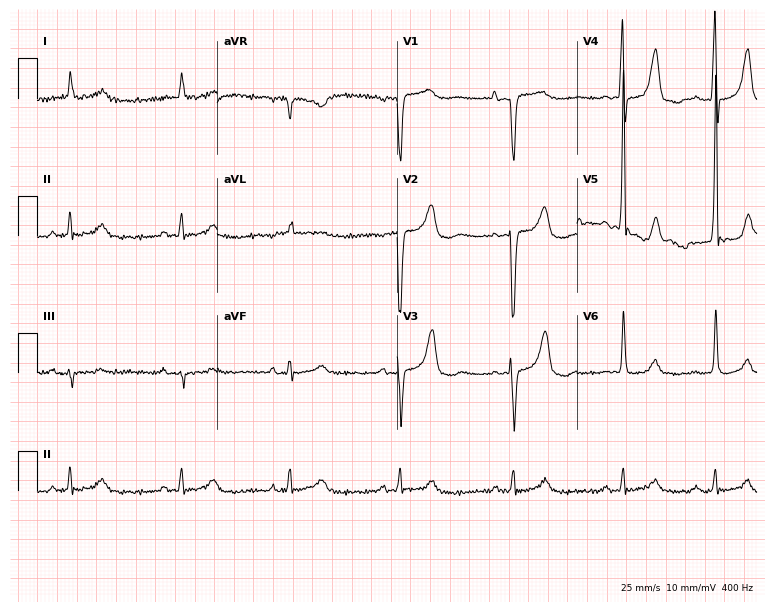
ECG (7.3-second recording at 400 Hz) — a female patient, 79 years old. Labelled as a normal ECG.